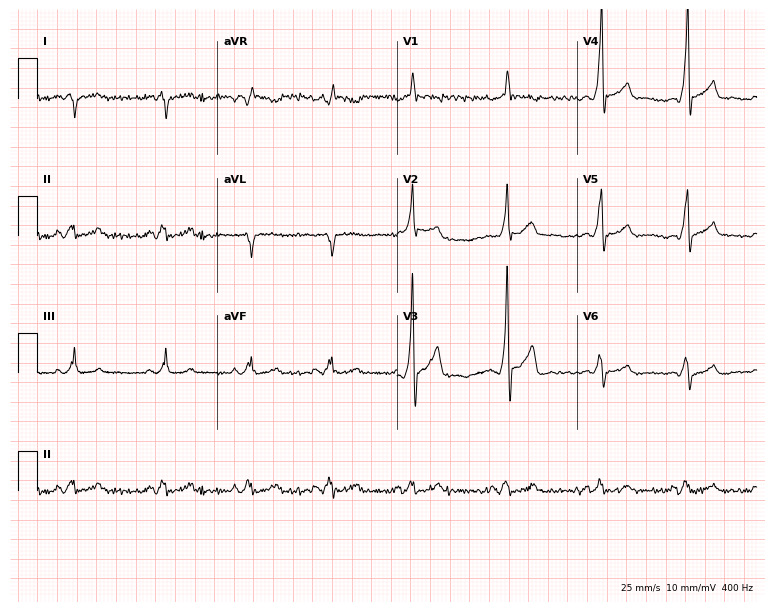
Resting 12-lead electrocardiogram (7.3-second recording at 400 Hz). Patient: a 31-year-old male. None of these six findings is recorded: first-degree AV block, right bundle branch block (RBBB), left bundle branch block (LBBB), sinus bradycardia, atrial fibrillation (AF), sinus tachycardia. Only these six findings were labelled.